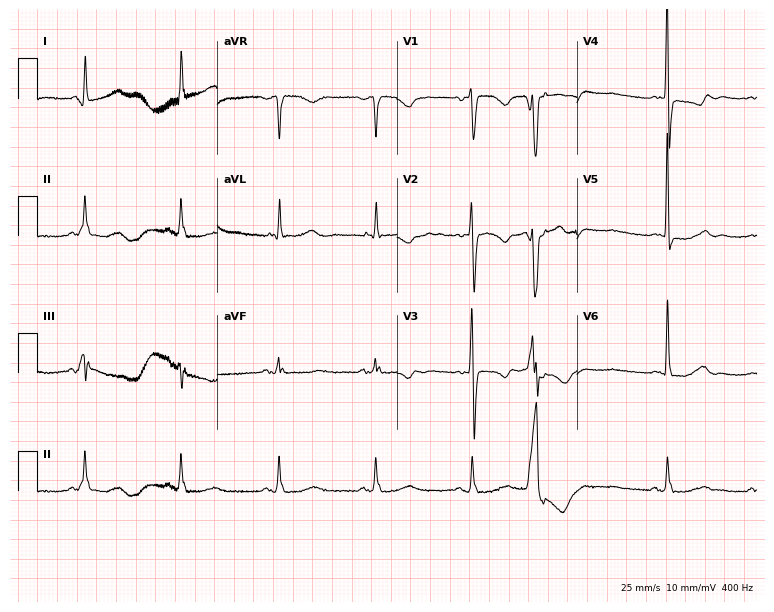
12-lead ECG from a female, 70 years old (7.3-second recording at 400 Hz). No first-degree AV block, right bundle branch block (RBBB), left bundle branch block (LBBB), sinus bradycardia, atrial fibrillation (AF) or sinus tachycardia recorded for this tracing.